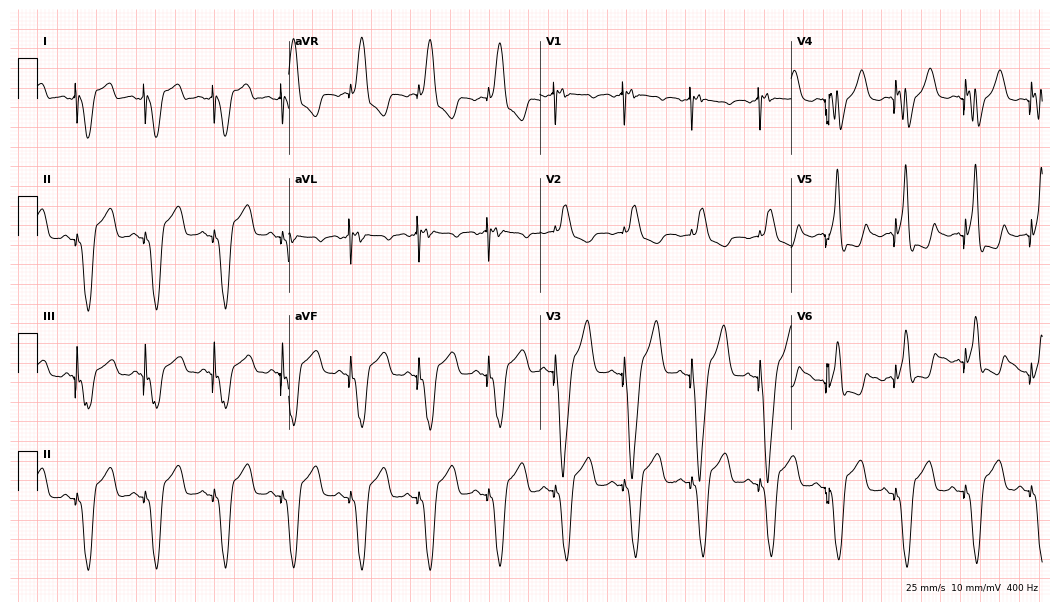
Electrocardiogram (10.2-second recording at 400 Hz), a woman, 80 years old. Of the six screened findings (first-degree AV block, right bundle branch block, left bundle branch block, sinus bradycardia, atrial fibrillation, sinus tachycardia), none is recorded. Findings outside these six are not listed.